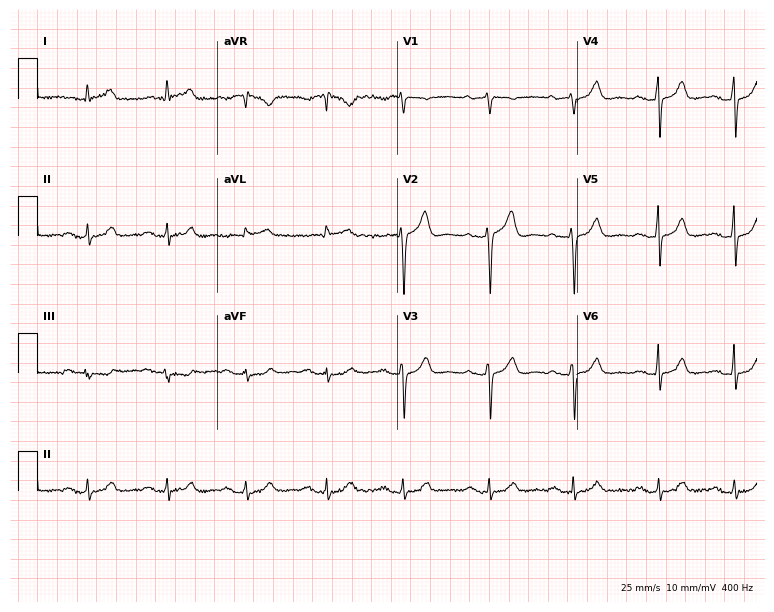
12-lead ECG from a 77-year-old male (7.3-second recording at 400 Hz). Recorded interpretation: within normal limits.